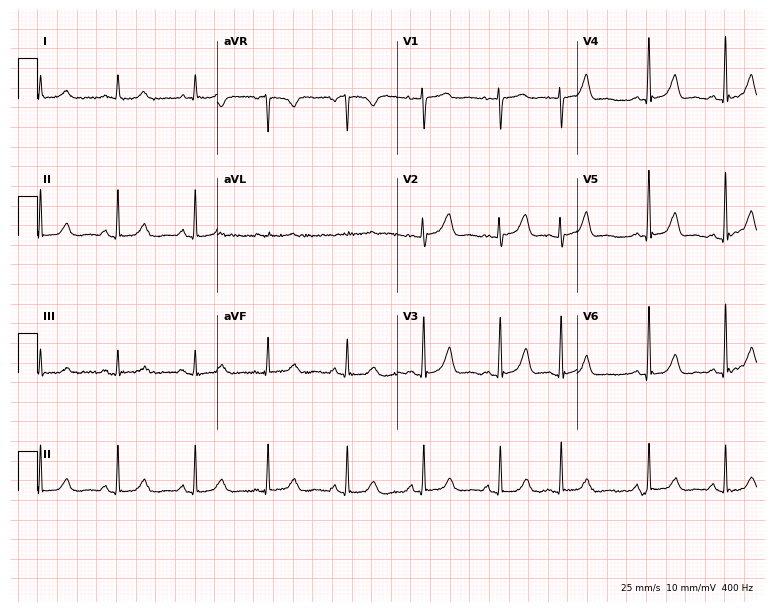
12-lead ECG from a 63-year-old woman (7.3-second recording at 400 Hz). Recorded interpretation: within normal limits.